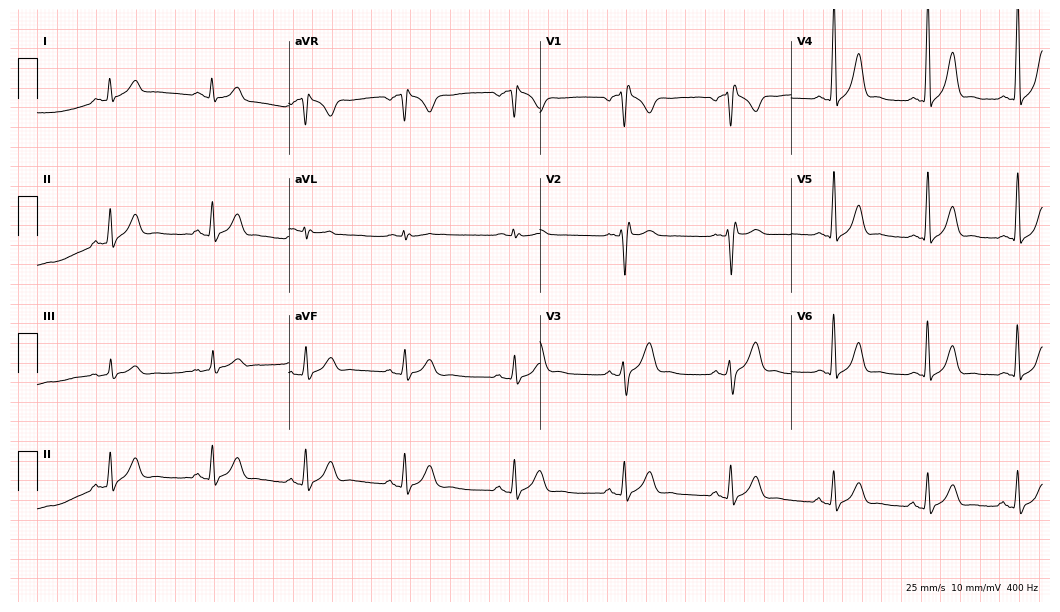
ECG — a 22-year-old male patient. Findings include right bundle branch block (RBBB).